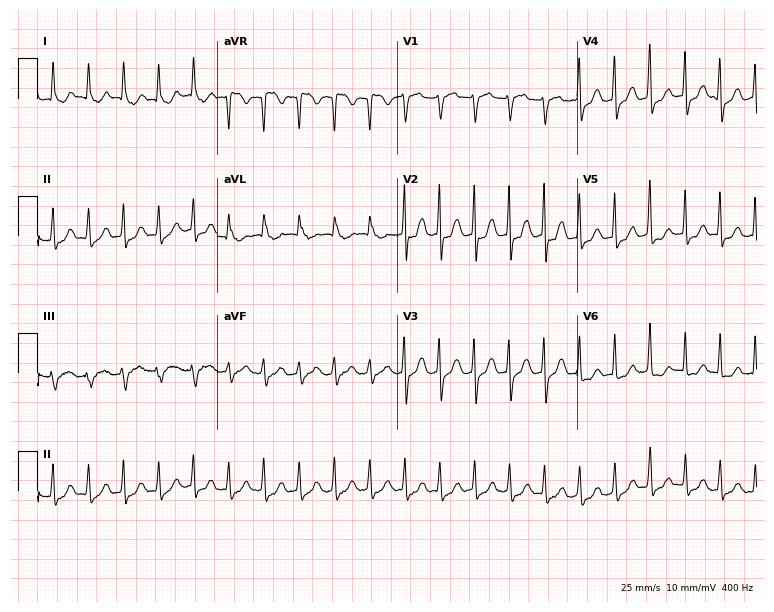
Electrocardiogram, a female patient, 51 years old. Of the six screened findings (first-degree AV block, right bundle branch block, left bundle branch block, sinus bradycardia, atrial fibrillation, sinus tachycardia), none is recorded.